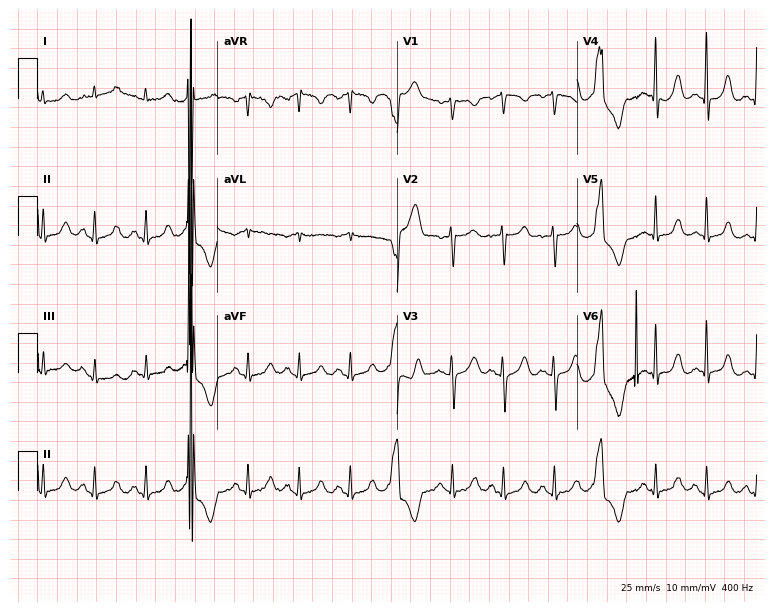
Electrocardiogram, a female patient, 62 years old. Interpretation includes sinus tachycardia (a sinus rate of 100 beats per minute or more).